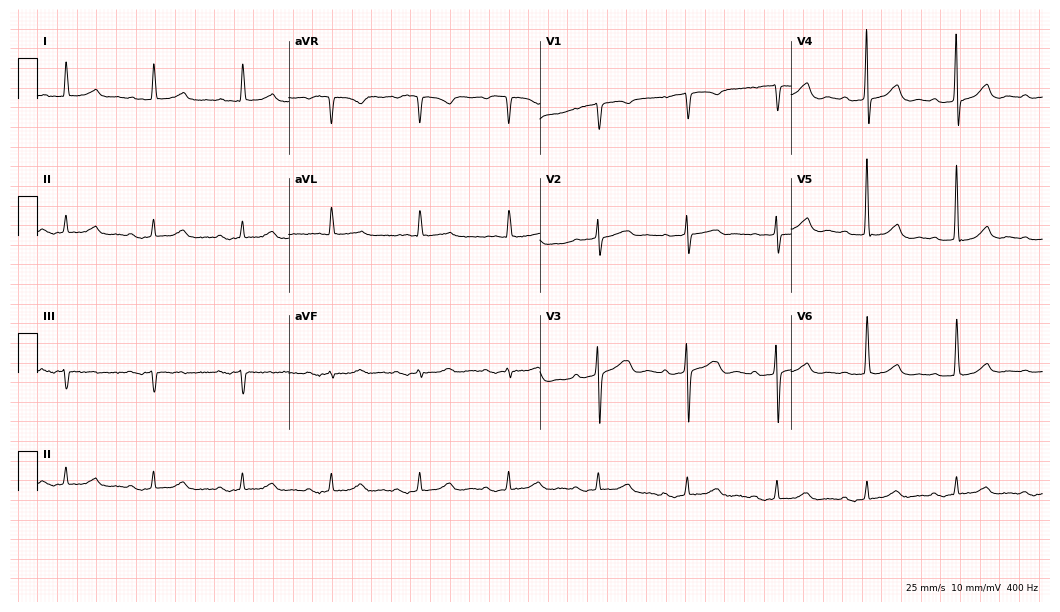
Resting 12-lead electrocardiogram. Patient: a 77-year-old female. None of these six findings is recorded: first-degree AV block, right bundle branch block, left bundle branch block, sinus bradycardia, atrial fibrillation, sinus tachycardia.